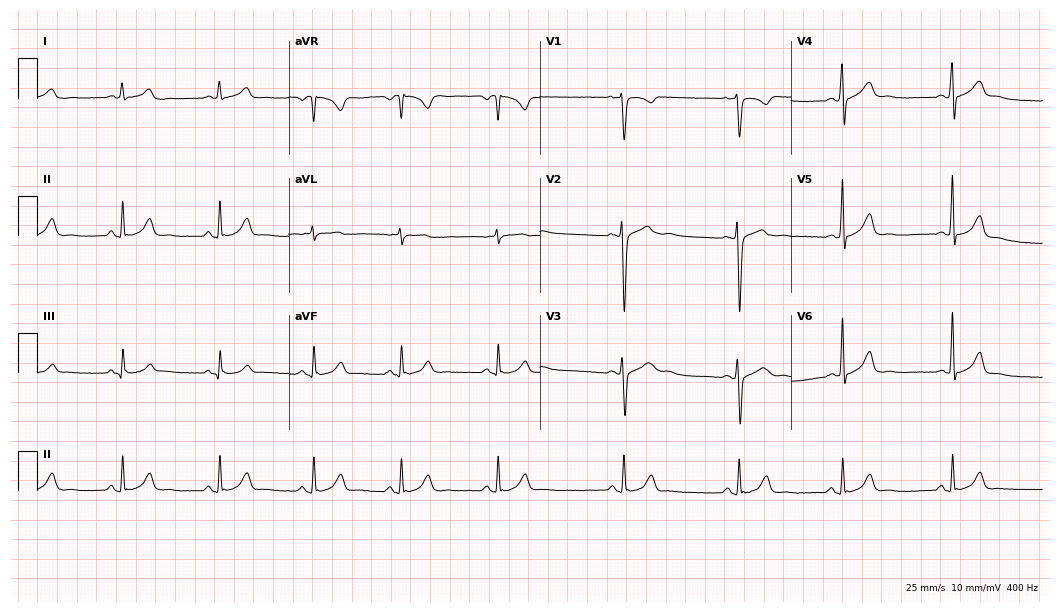
Standard 12-lead ECG recorded from a 23-year-old man (10.2-second recording at 400 Hz). None of these six findings is recorded: first-degree AV block, right bundle branch block, left bundle branch block, sinus bradycardia, atrial fibrillation, sinus tachycardia. Only these six findings were labelled.